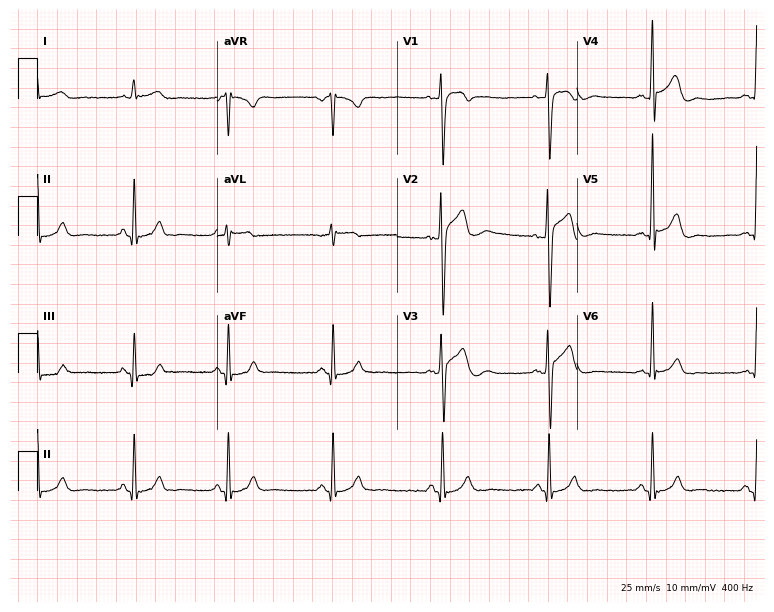
Electrocardiogram (7.3-second recording at 400 Hz), a man, 38 years old. Overall reading on record: normal ECG.